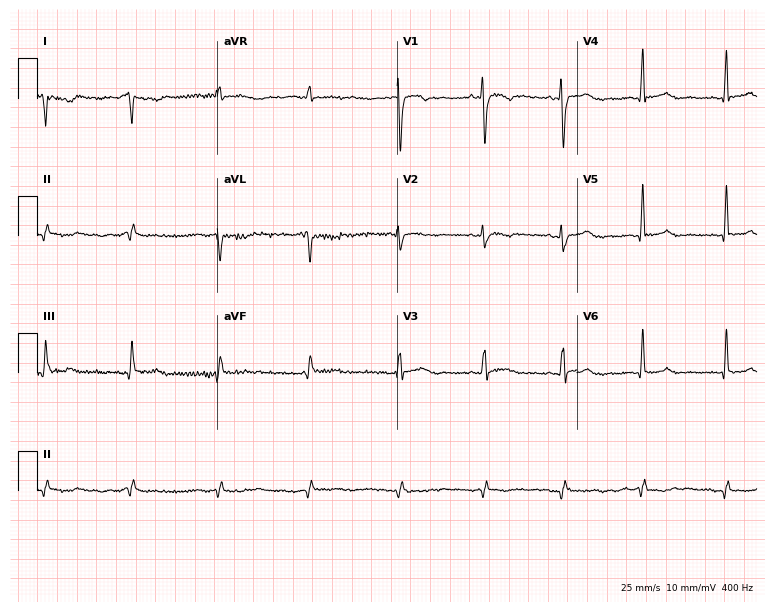
Standard 12-lead ECG recorded from a 49-year-old female. None of these six findings is recorded: first-degree AV block, right bundle branch block, left bundle branch block, sinus bradycardia, atrial fibrillation, sinus tachycardia. Only these six findings were labelled.